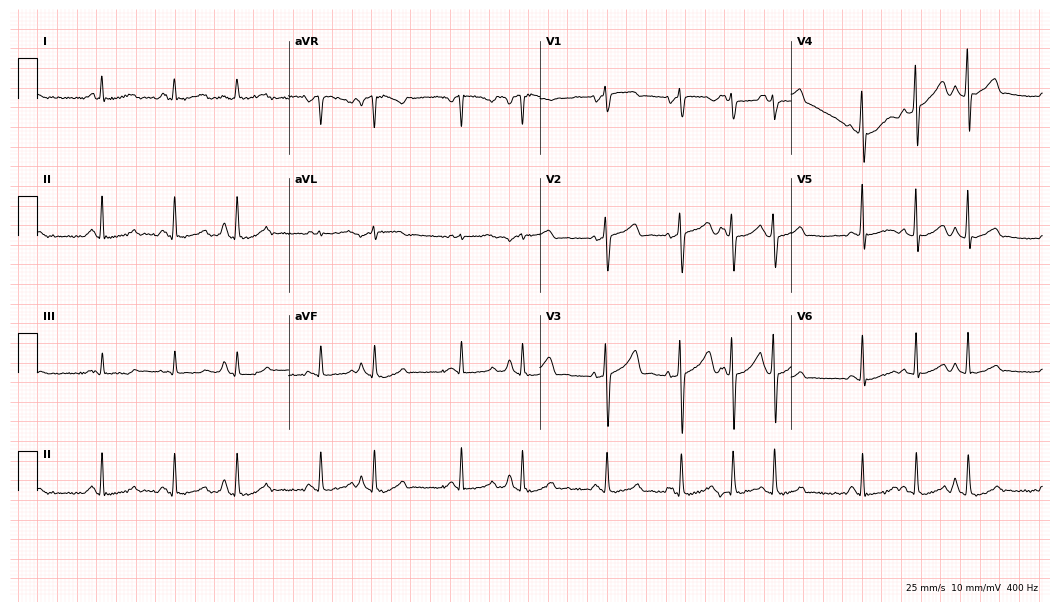
12-lead ECG (10.2-second recording at 400 Hz) from a 49-year-old woman. Screened for six findings — first-degree AV block, right bundle branch block (RBBB), left bundle branch block (LBBB), sinus bradycardia, atrial fibrillation (AF), sinus tachycardia — none is recorded. Other findings, if any, are not listed.